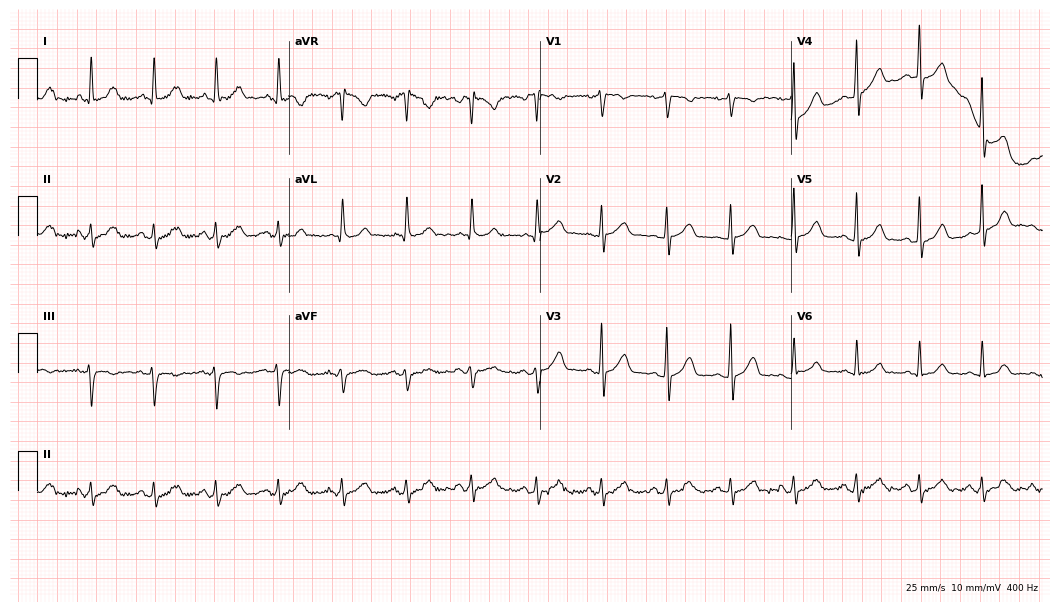
12-lead ECG (10.2-second recording at 400 Hz) from a woman, 51 years old. Screened for six findings — first-degree AV block, right bundle branch block, left bundle branch block, sinus bradycardia, atrial fibrillation, sinus tachycardia — none is recorded. Only these six findings were labelled.